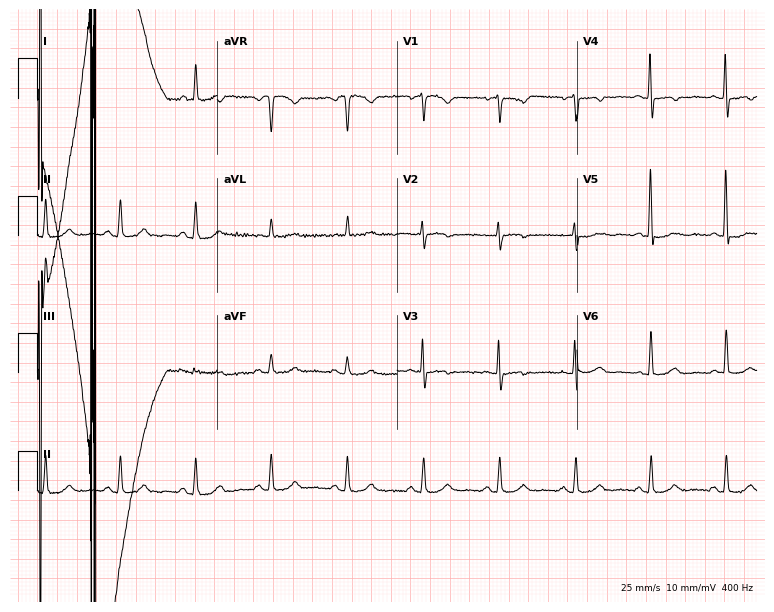
12-lead ECG from a 57-year-old female. No first-degree AV block, right bundle branch block, left bundle branch block, sinus bradycardia, atrial fibrillation or sinus tachycardia recorded for this tracing. Other findings, if any, are not listed.